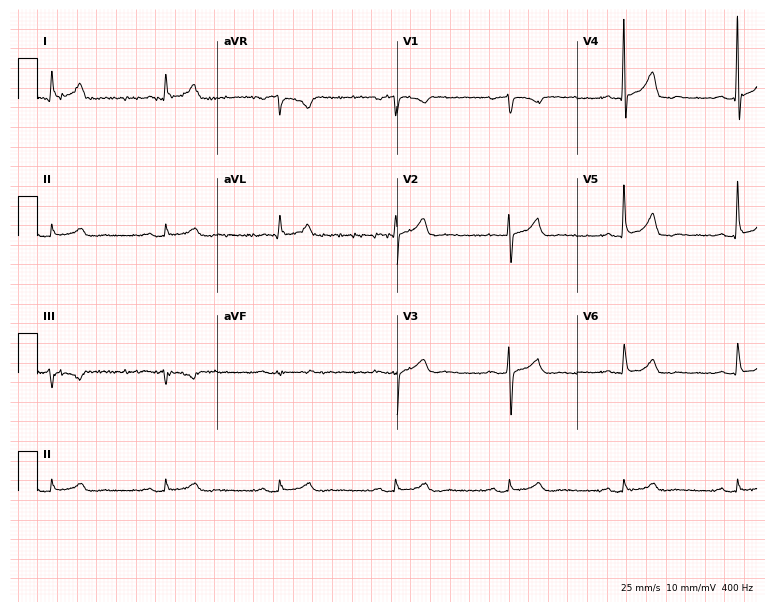
Electrocardiogram, an 81-year-old male patient. Of the six screened findings (first-degree AV block, right bundle branch block, left bundle branch block, sinus bradycardia, atrial fibrillation, sinus tachycardia), none is recorded. Only these six findings were labelled.